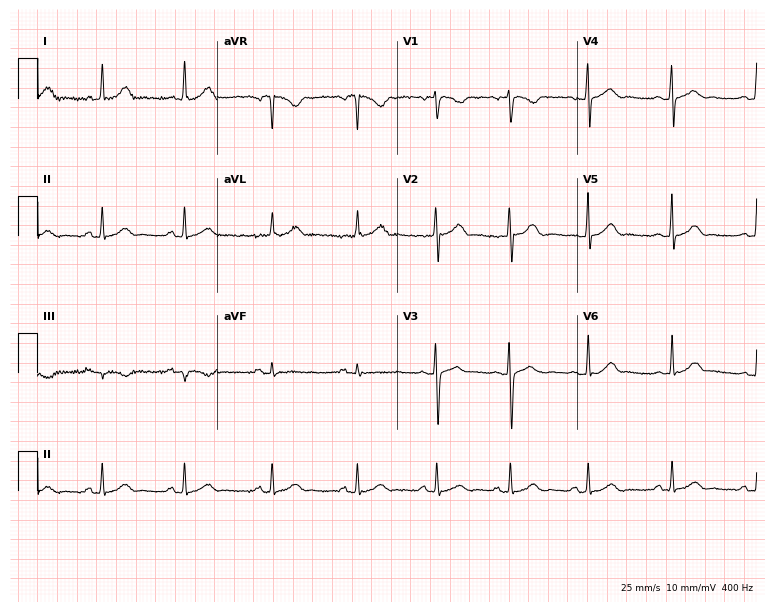
Electrocardiogram (7.3-second recording at 400 Hz), a female, 26 years old. Overall reading on record: normal ECG.